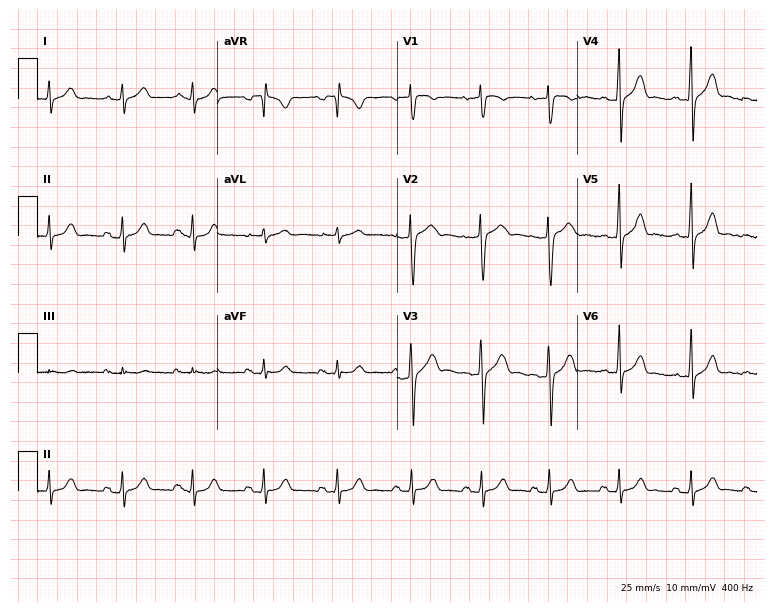
12-lead ECG from a male patient, 32 years old. Screened for six findings — first-degree AV block, right bundle branch block, left bundle branch block, sinus bradycardia, atrial fibrillation, sinus tachycardia — none is recorded. Only these six findings were labelled.